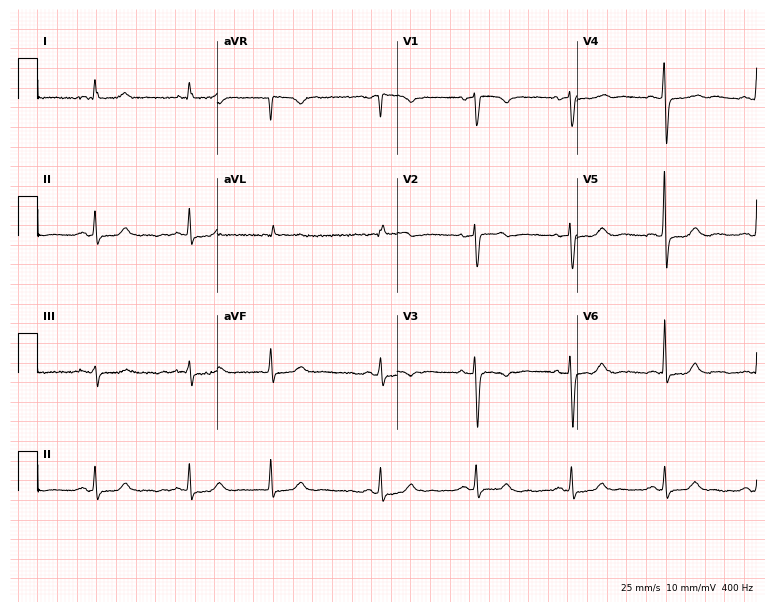
Resting 12-lead electrocardiogram (7.3-second recording at 400 Hz). Patient: a woman, 70 years old. None of these six findings is recorded: first-degree AV block, right bundle branch block, left bundle branch block, sinus bradycardia, atrial fibrillation, sinus tachycardia. Other findings, if any, are not listed.